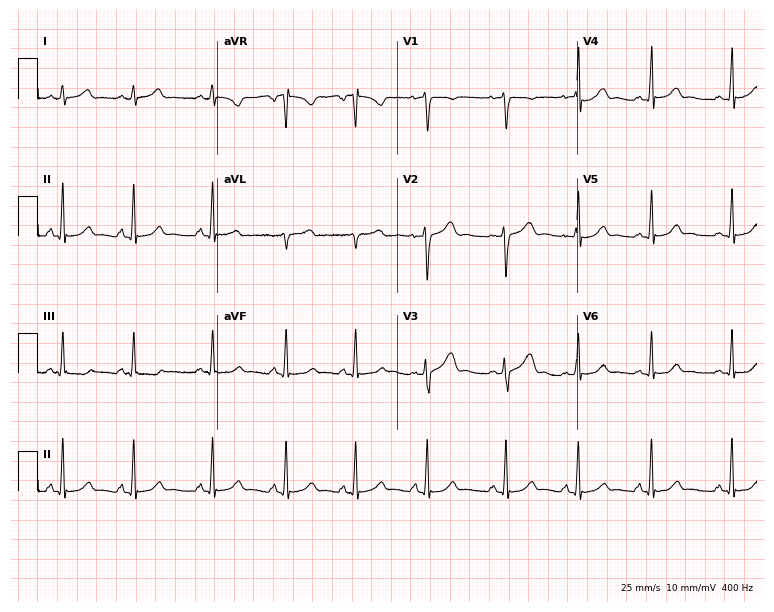
Standard 12-lead ECG recorded from an 18-year-old woman (7.3-second recording at 400 Hz). Read as a normal ECG.